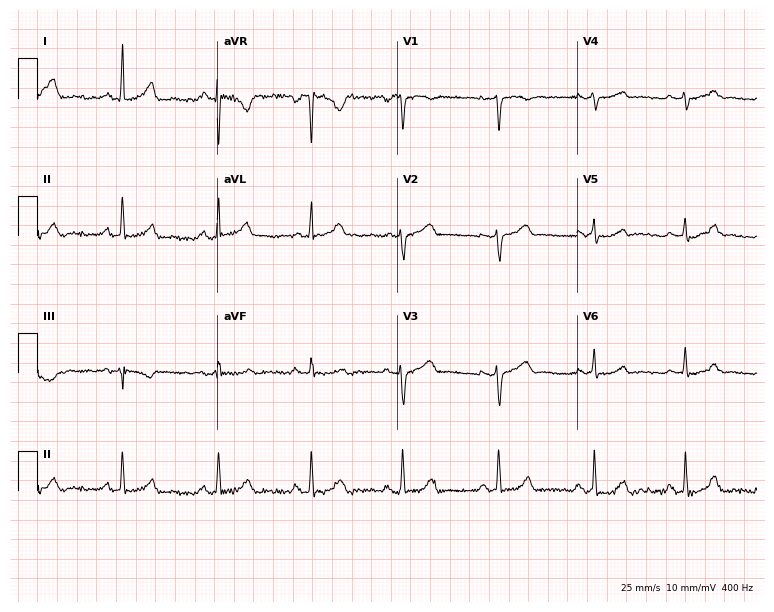
ECG (7.3-second recording at 400 Hz) — a female, 39 years old. Labelled as a normal ECG.